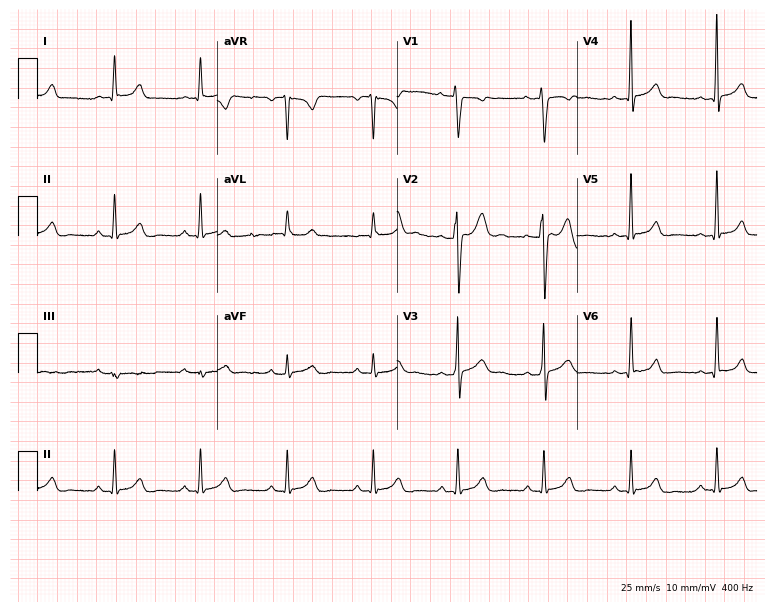
ECG (7.3-second recording at 400 Hz) — a 29-year-old man. Screened for six findings — first-degree AV block, right bundle branch block, left bundle branch block, sinus bradycardia, atrial fibrillation, sinus tachycardia — none is recorded.